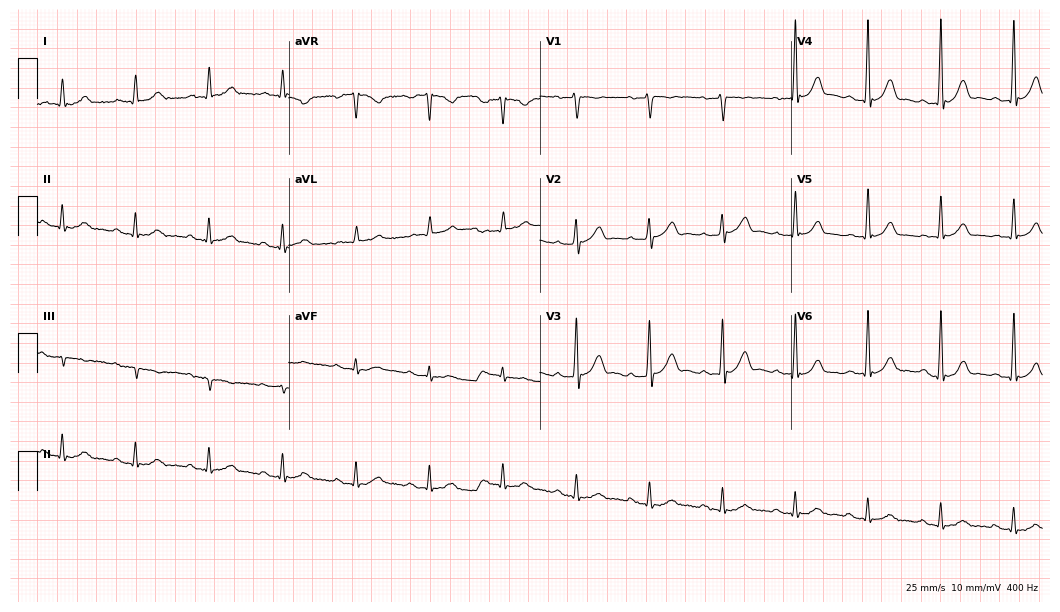
12-lead ECG from a male patient, 81 years old. Screened for six findings — first-degree AV block, right bundle branch block, left bundle branch block, sinus bradycardia, atrial fibrillation, sinus tachycardia — none is recorded.